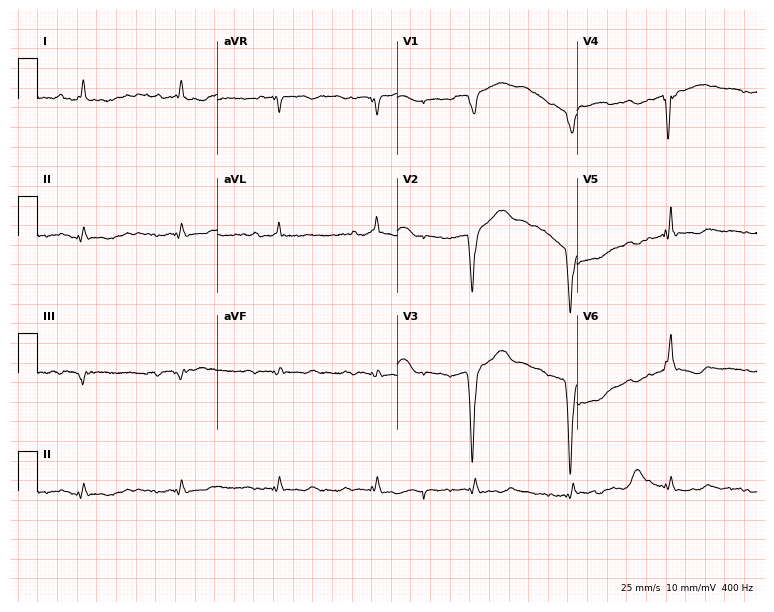
12-lead ECG from a male patient, 70 years old (7.3-second recording at 400 Hz). No first-degree AV block, right bundle branch block, left bundle branch block, sinus bradycardia, atrial fibrillation or sinus tachycardia recorded for this tracing. Findings outside these six are not listed.